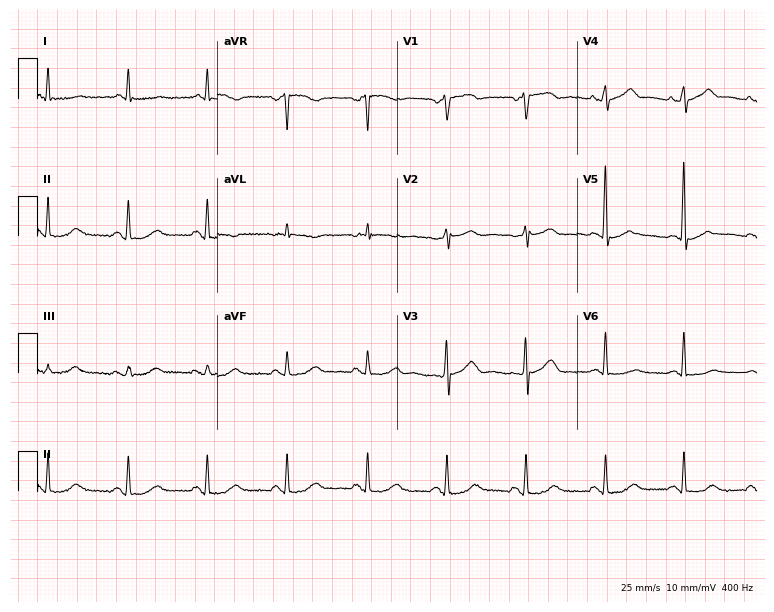
Electrocardiogram, an 83-year-old female patient. Overall reading on record: normal ECG.